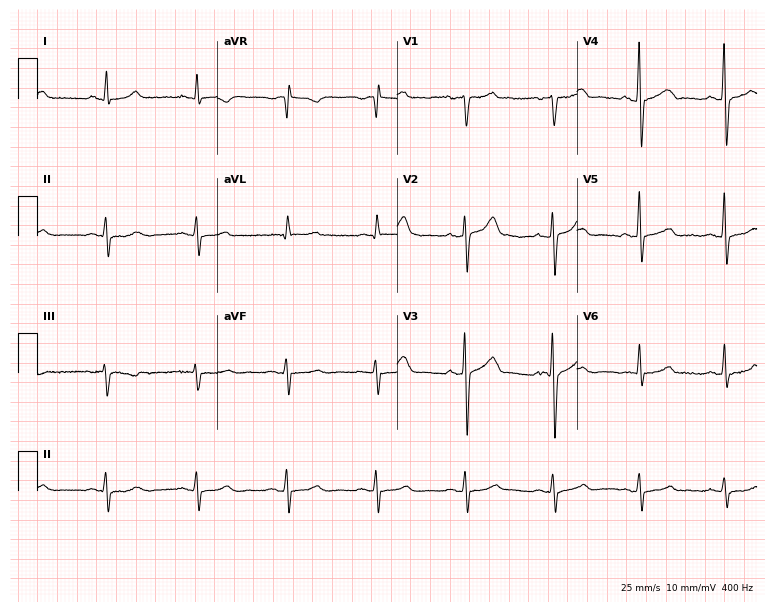
ECG (7.3-second recording at 400 Hz) — a male, 69 years old. Labelled as a normal ECG.